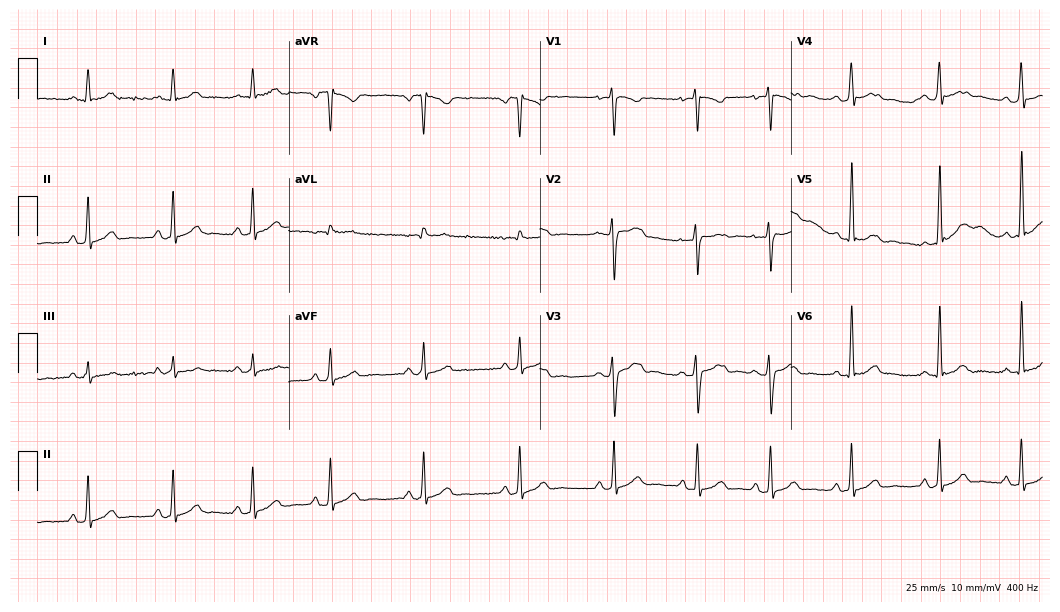
Electrocardiogram (10.2-second recording at 400 Hz), a woman, 21 years old. Overall reading on record: normal ECG.